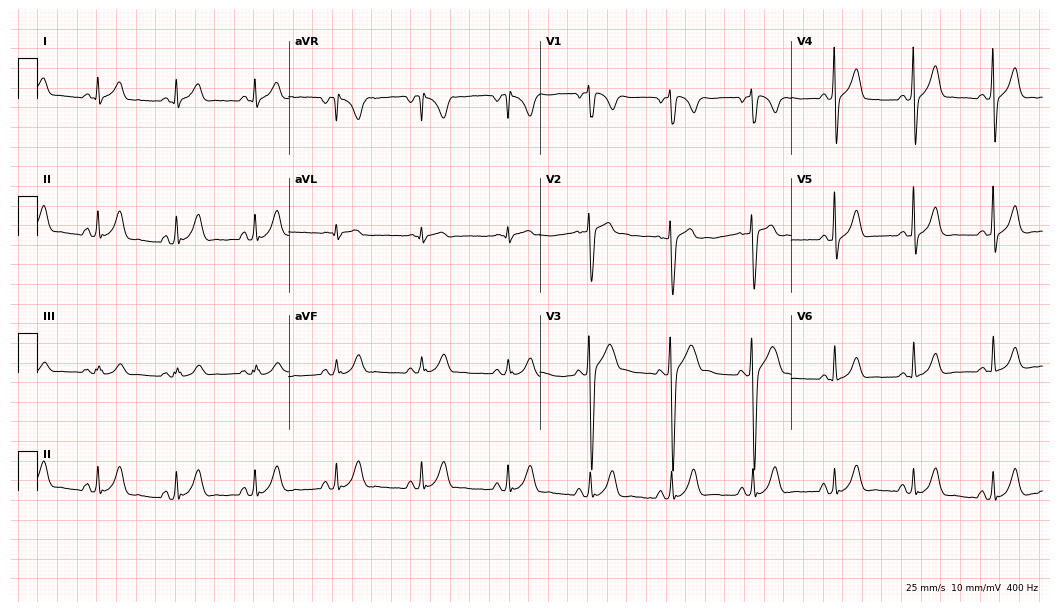
Electrocardiogram, a male patient, 20 years old. Of the six screened findings (first-degree AV block, right bundle branch block (RBBB), left bundle branch block (LBBB), sinus bradycardia, atrial fibrillation (AF), sinus tachycardia), none is recorded. Other findings, if any, are not listed.